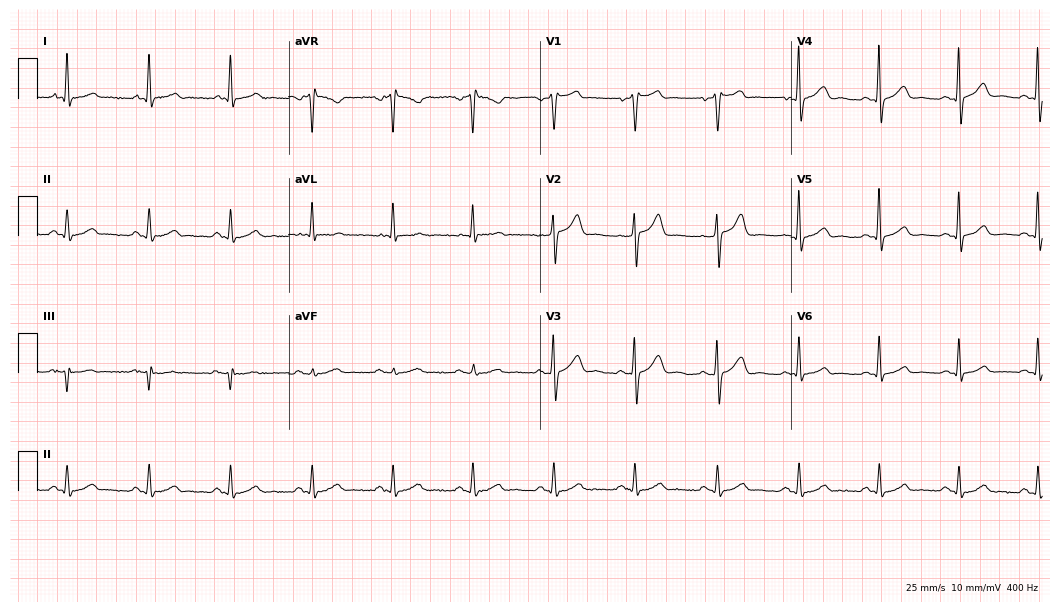
Standard 12-lead ECG recorded from a man, 70 years old. Read as a normal ECG.